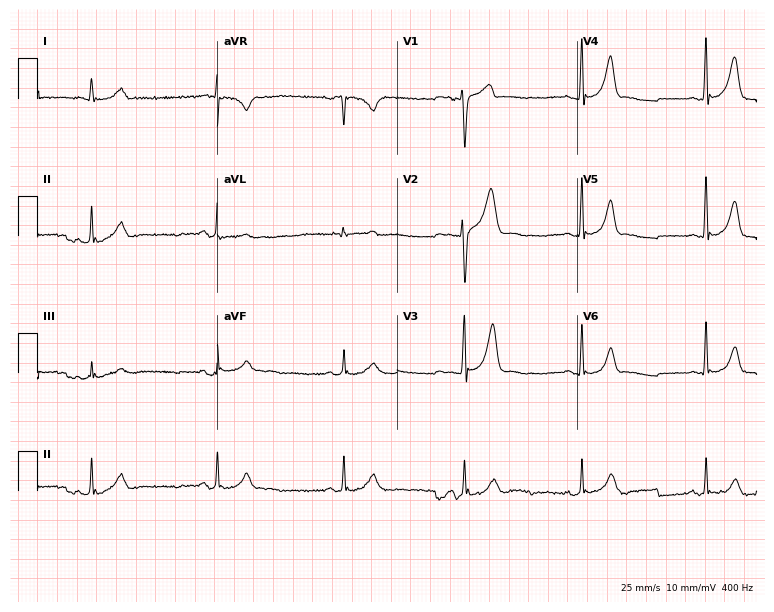
ECG — a male, 46 years old. Findings include sinus bradycardia (a sinus rate of 50 beats per minute or less).